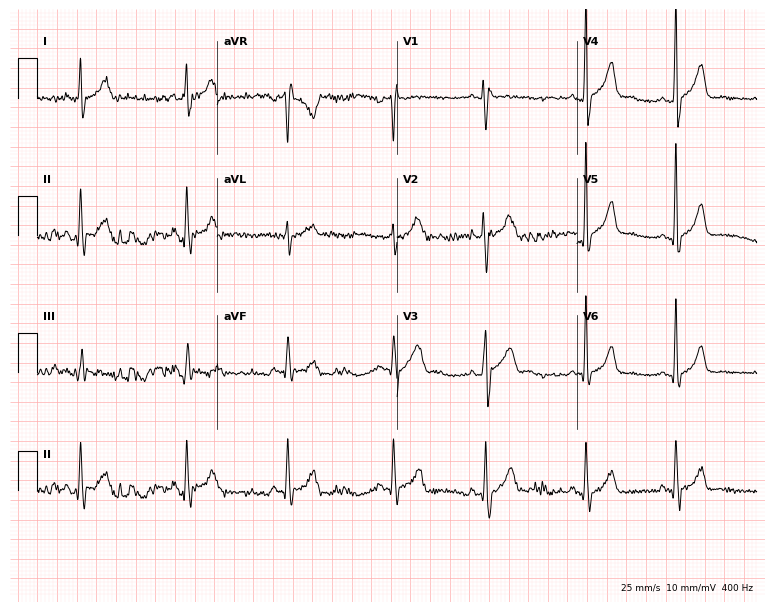
12-lead ECG (7.3-second recording at 400 Hz) from a male, 18 years old. Labelled as a normal ECG.